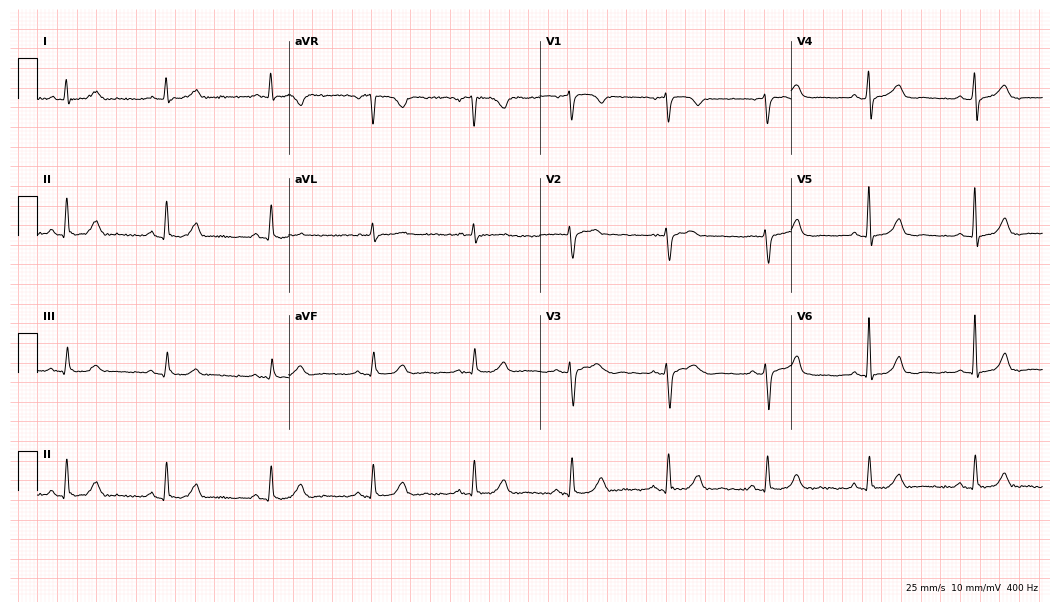
12-lead ECG (10.2-second recording at 400 Hz) from a 62-year-old female patient. Screened for six findings — first-degree AV block, right bundle branch block, left bundle branch block, sinus bradycardia, atrial fibrillation, sinus tachycardia — none is recorded. Findings outside these six are not listed.